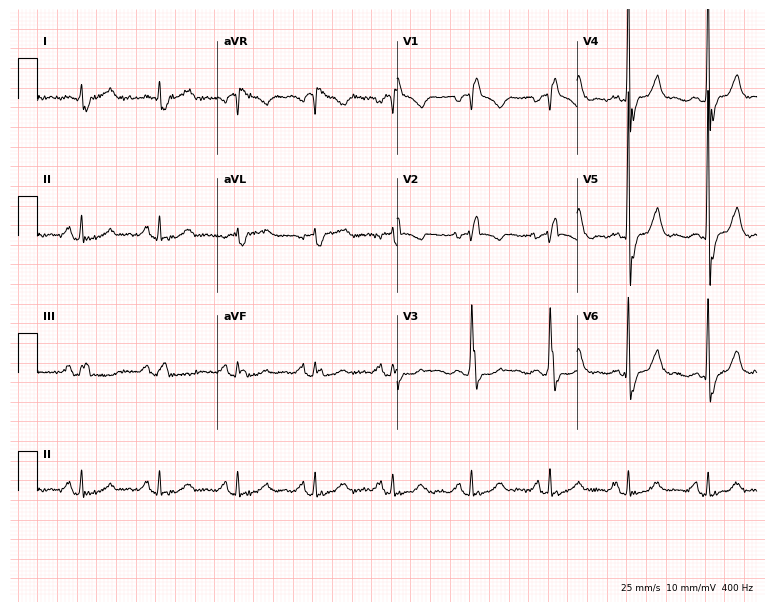
ECG (7.3-second recording at 400 Hz) — a female patient, 75 years old. Findings include right bundle branch block.